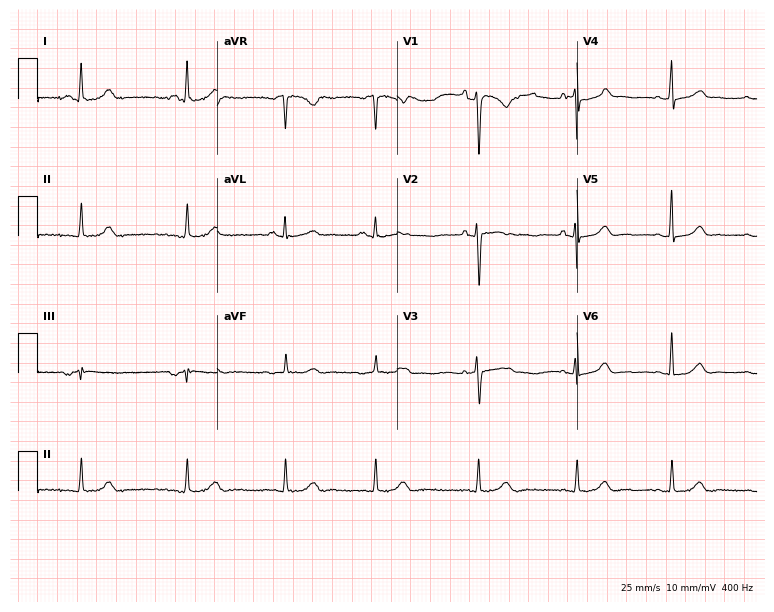
12-lead ECG from a female patient, 31 years old. Labelled as a normal ECG.